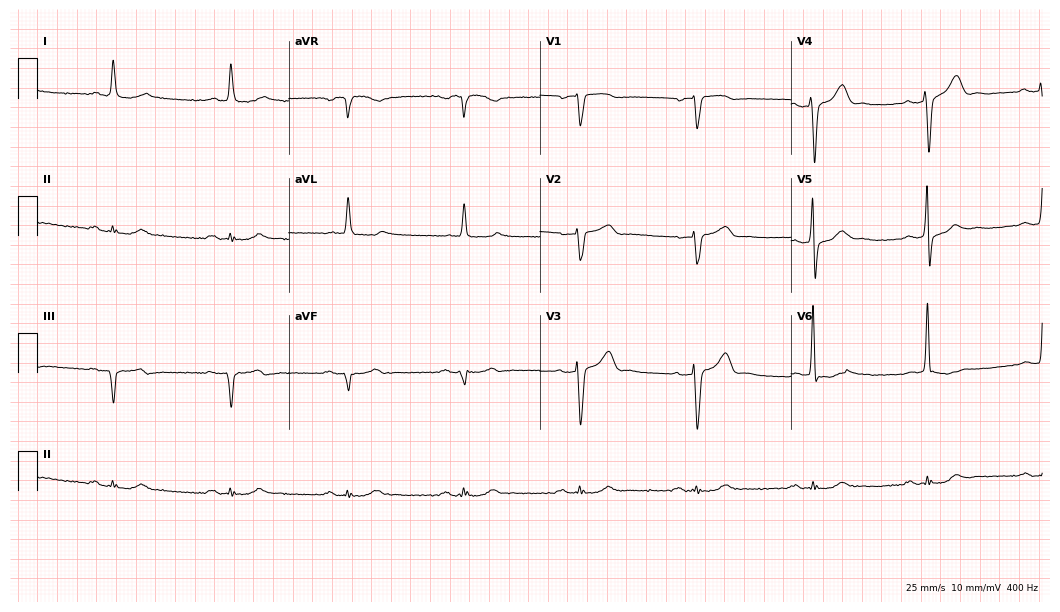
12-lead ECG from a man, 77 years old. No first-degree AV block, right bundle branch block (RBBB), left bundle branch block (LBBB), sinus bradycardia, atrial fibrillation (AF) or sinus tachycardia recorded for this tracing. Other findings, if any, are not listed.